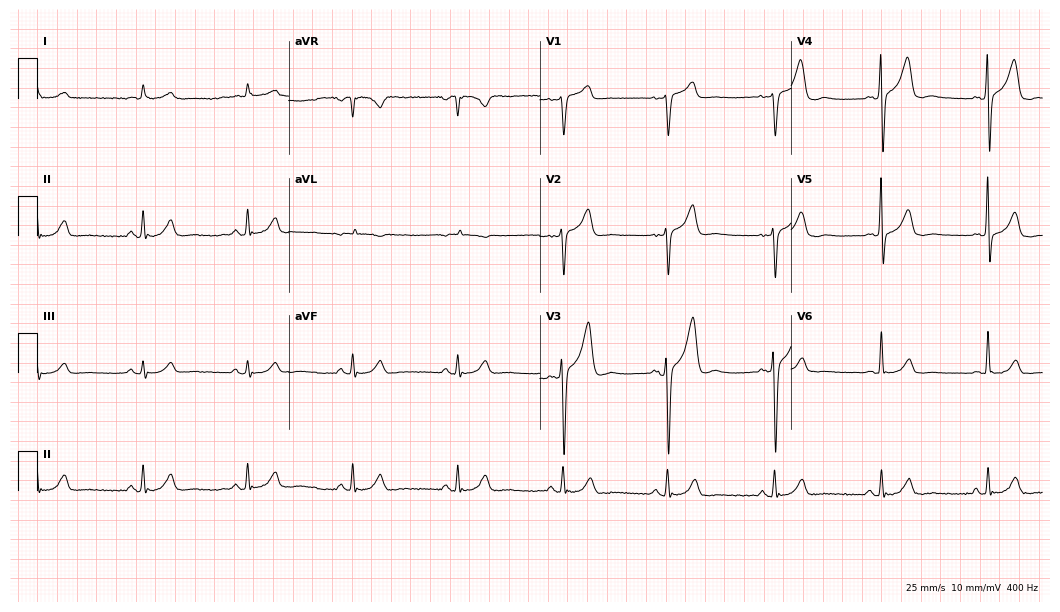
Resting 12-lead electrocardiogram (10.2-second recording at 400 Hz). Patient: a 51-year-old male. None of these six findings is recorded: first-degree AV block, right bundle branch block, left bundle branch block, sinus bradycardia, atrial fibrillation, sinus tachycardia.